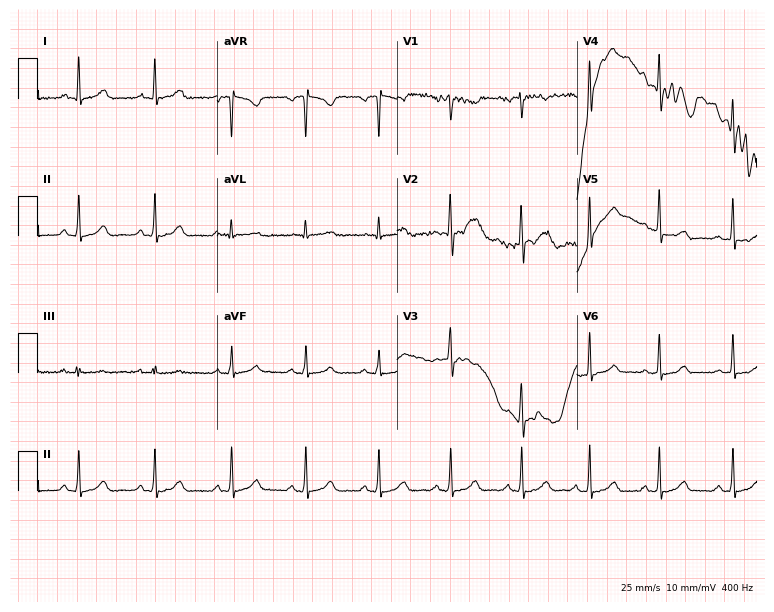
ECG — a woman, 26 years old. Screened for six findings — first-degree AV block, right bundle branch block, left bundle branch block, sinus bradycardia, atrial fibrillation, sinus tachycardia — none is recorded.